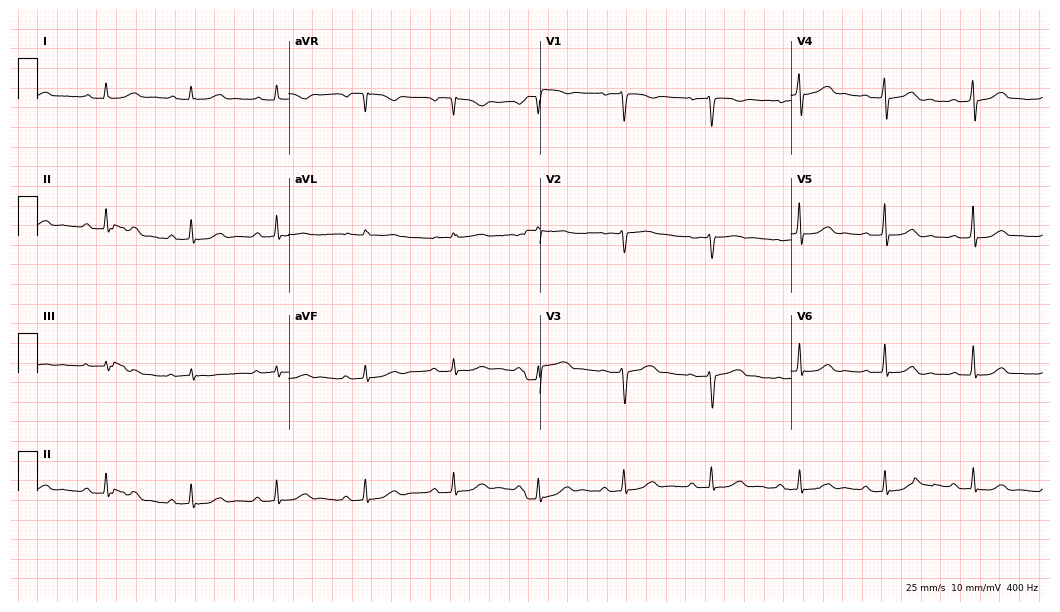
Resting 12-lead electrocardiogram. Patient: a female, 36 years old. The tracing shows first-degree AV block.